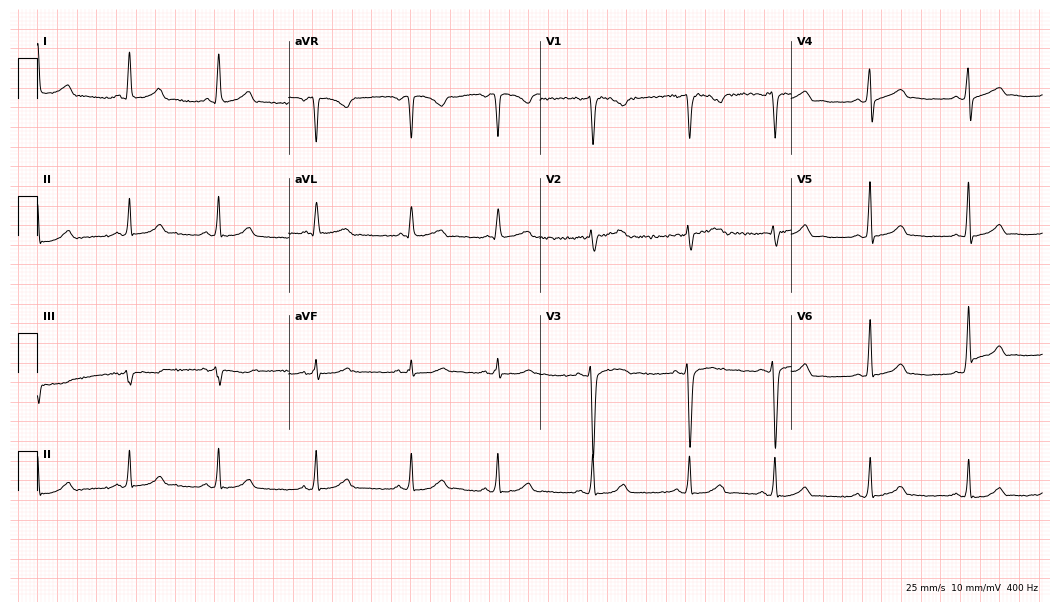
Resting 12-lead electrocardiogram. Patient: a 44-year-old female. Read as a normal ECG.